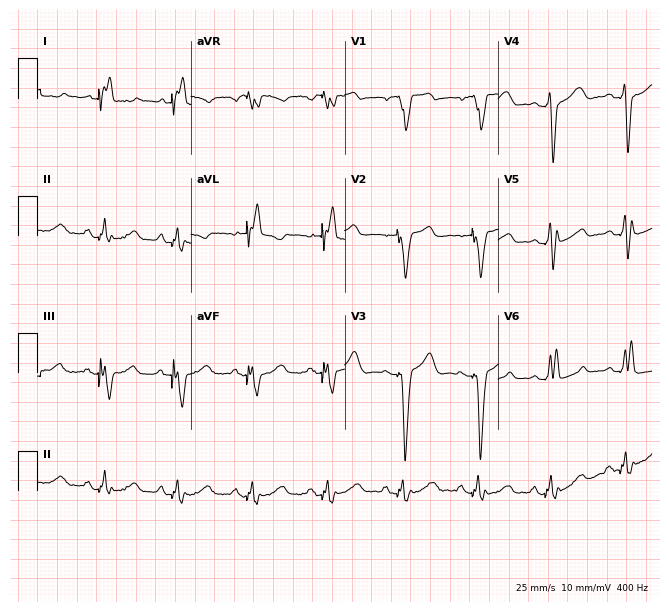
12-lead ECG from a woman, 73 years old (6.3-second recording at 400 Hz). No first-degree AV block, right bundle branch block (RBBB), left bundle branch block (LBBB), sinus bradycardia, atrial fibrillation (AF) or sinus tachycardia recorded for this tracing.